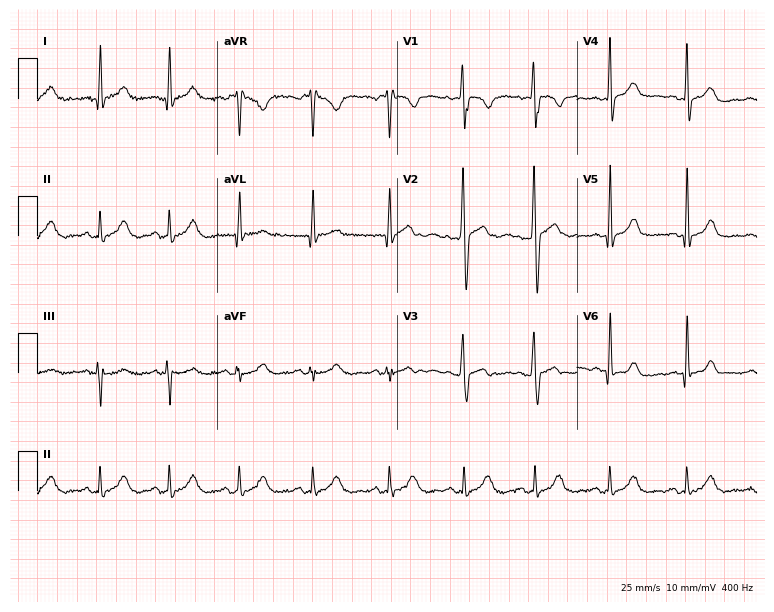
Resting 12-lead electrocardiogram. Patient: a woman, 23 years old. None of these six findings is recorded: first-degree AV block, right bundle branch block (RBBB), left bundle branch block (LBBB), sinus bradycardia, atrial fibrillation (AF), sinus tachycardia. Other findings, if any, are not listed.